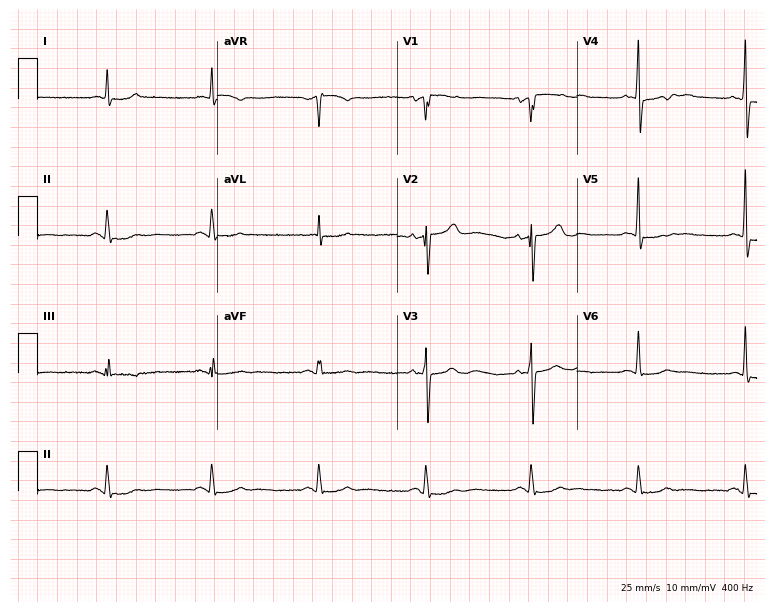
ECG — a male, 76 years old. Screened for six findings — first-degree AV block, right bundle branch block, left bundle branch block, sinus bradycardia, atrial fibrillation, sinus tachycardia — none is recorded.